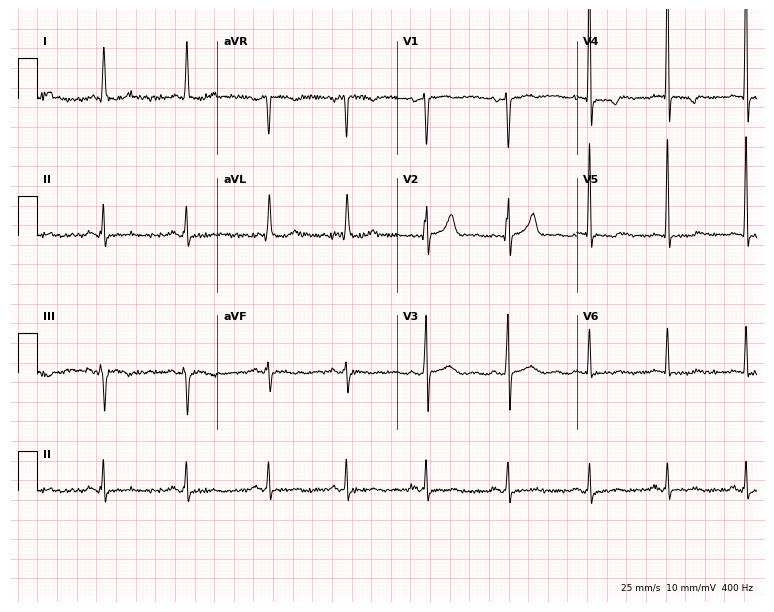
12-lead ECG (7.3-second recording at 400 Hz) from an 83-year-old female patient. Screened for six findings — first-degree AV block, right bundle branch block (RBBB), left bundle branch block (LBBB), sinus bradycardia, atrial fibrillation (AF), sinus tachycardia — none is recorded.